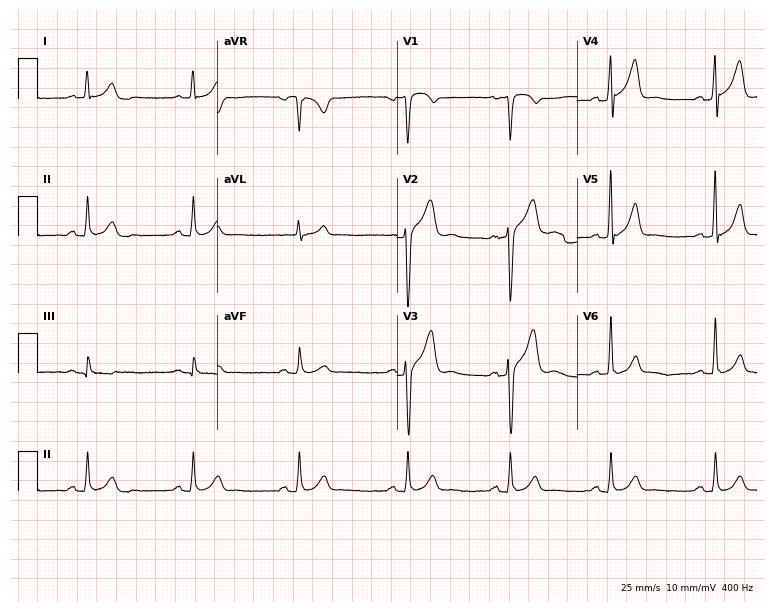
Resting 12-lead electrocardiogram. Patient: a 41-year-old male. None of these six findings is recorded: first-degree AV block, right bundle branch block, left bundle branch block, sinus bradycardia, atrial fibrillation, sinus tachycardia. Other findings, if any, are not listed.